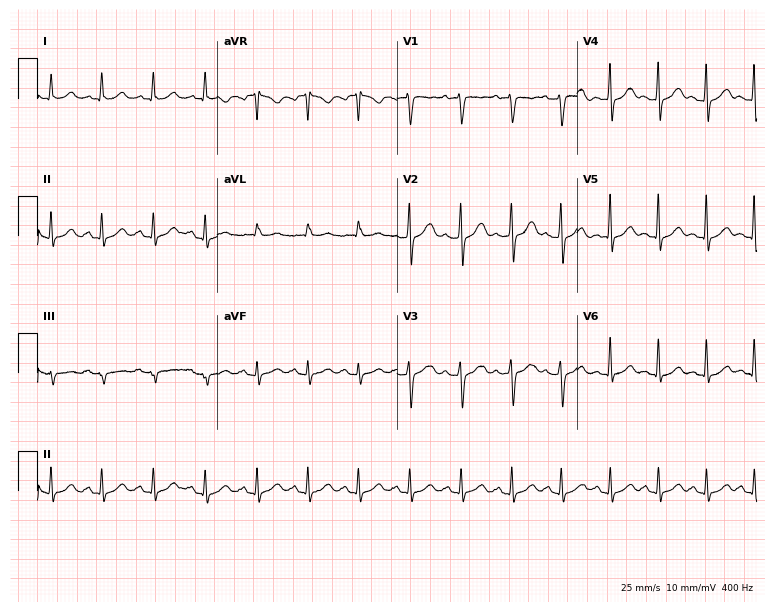
ECG — a 43-year-old woman. Findings include sinus tachycardia (a sinus rate of 100 beats per minute or more).